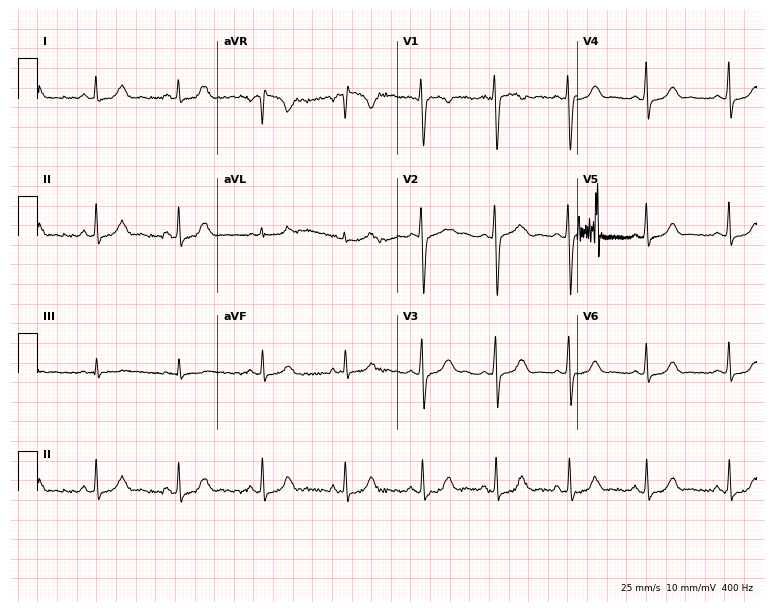
Resting 12-lead electrocardiogram. Patient: a female, 34 years old. Read as a normal ECG.